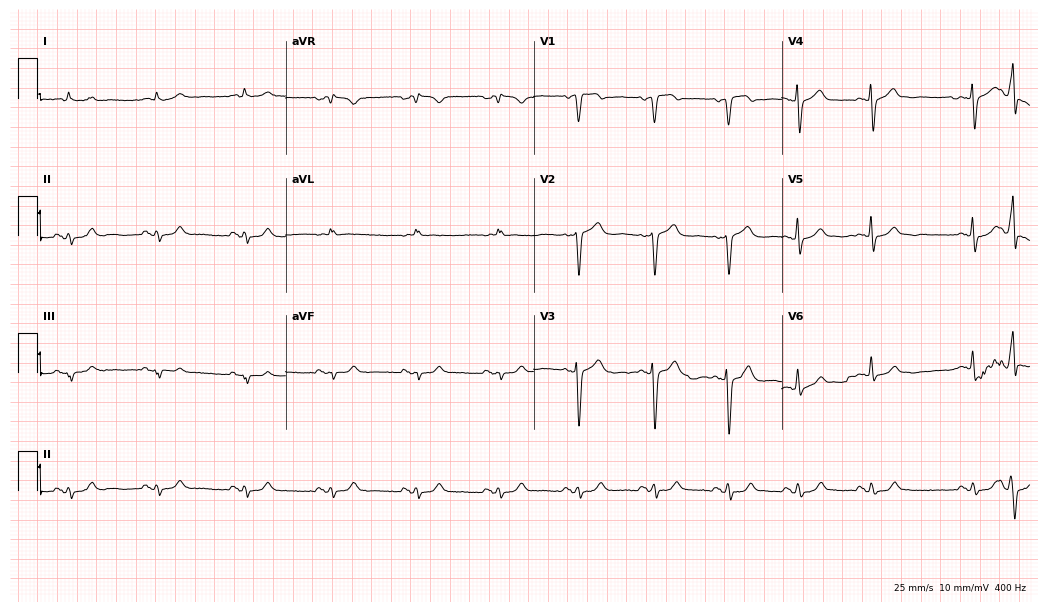
ECG — a 78-year-old man. Screened for six findings — first-degree AV block, right bundle branch block, left bundle branch block, sinus bradycardia, atrial fibrillation, sinus tachycardia — none is recorded.